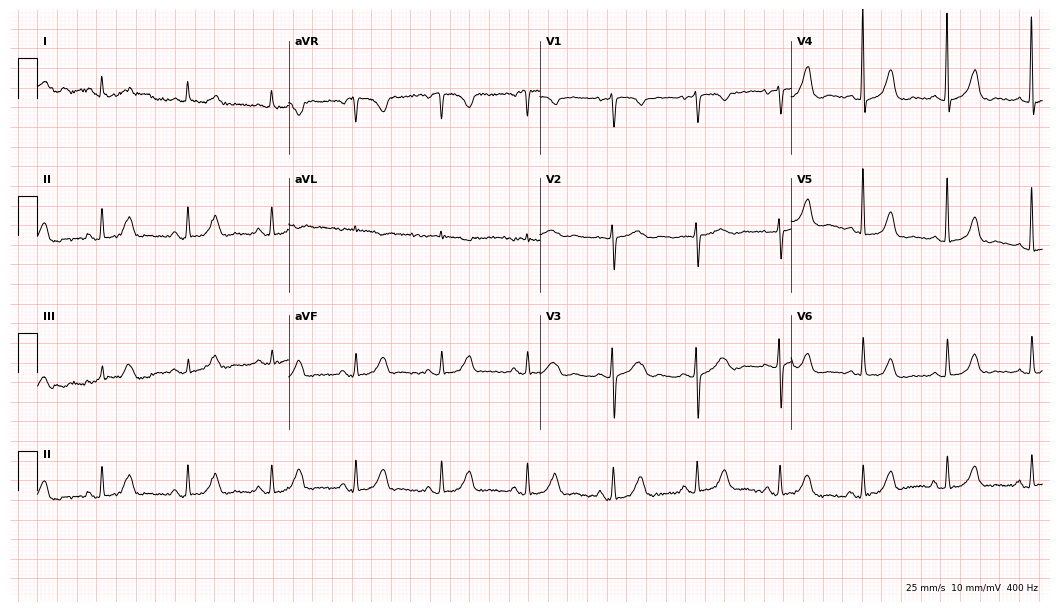
ECG — a female, 75 years old. Screened for six findings — first-degree AV block, right bundle branch block, left bundle branch block, sinus bradycardia, atrial fibrillation, sinus tachycardia — none is recorded. Findings outside these six are not listed.